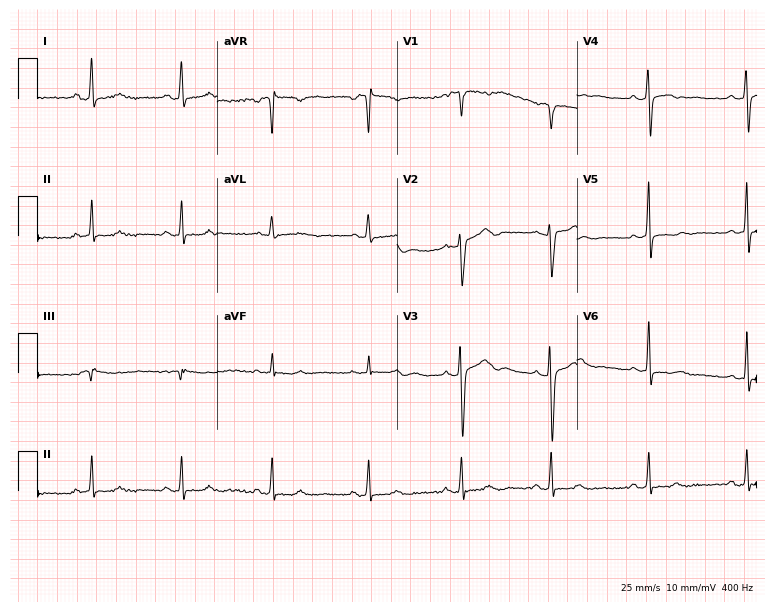
Electrocardiogram, a female, 26 years old. Of the six screened findings (first-degree AV block, right bundle branch block (RBBB), left bundle branch block (LBBB), sinus bradycardia, atrial fibrillation (AF), sinus tachycardia), none is recorded. Other findings, if any, are not listed.